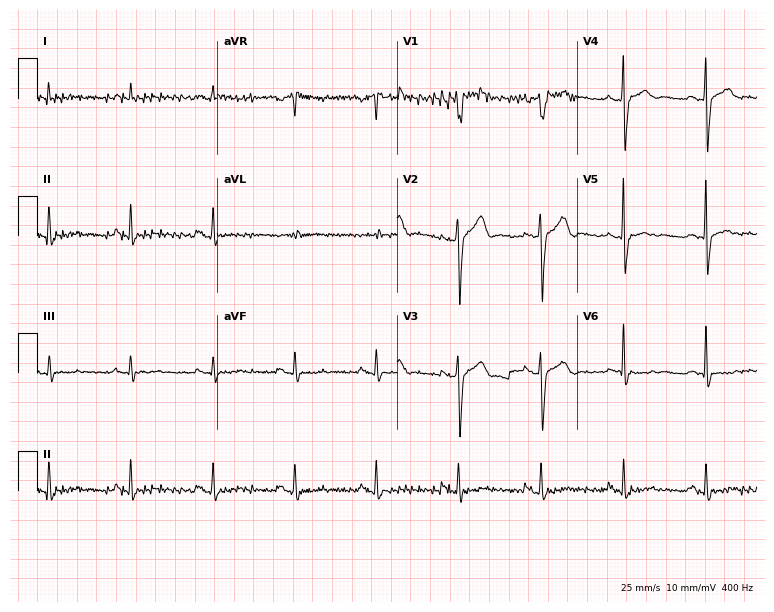
Standard 12-lead ECG recorded from a 78-year-old male. None of these six findings is recorded: first-degree AV block, right bundle branch block (RBBB), left bundle branch block (LBBB), sinus bradycardia, atrial fibrillation (AF), sinus tachycardia. Only these six findings were labelled.